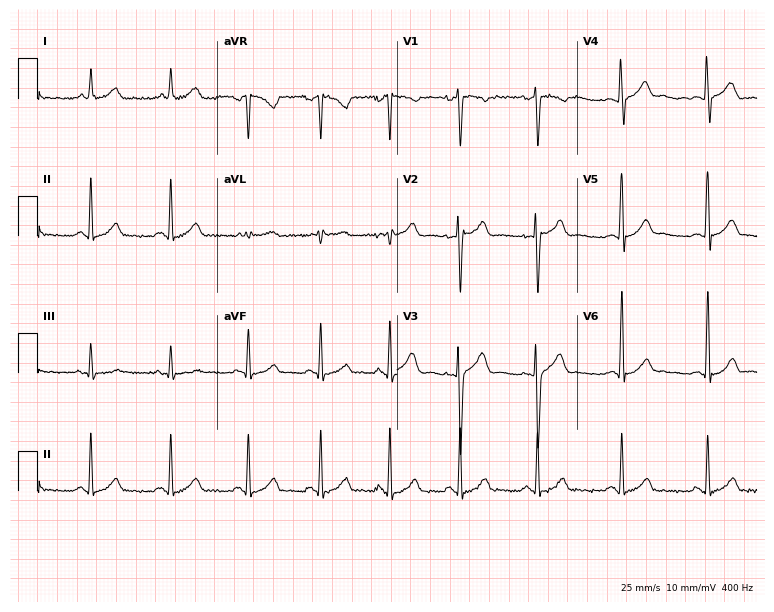
12-lead ECG from a 26-year-old man (7.3-second recording at 400 Hz). Recorded interpretation: within normal limits.